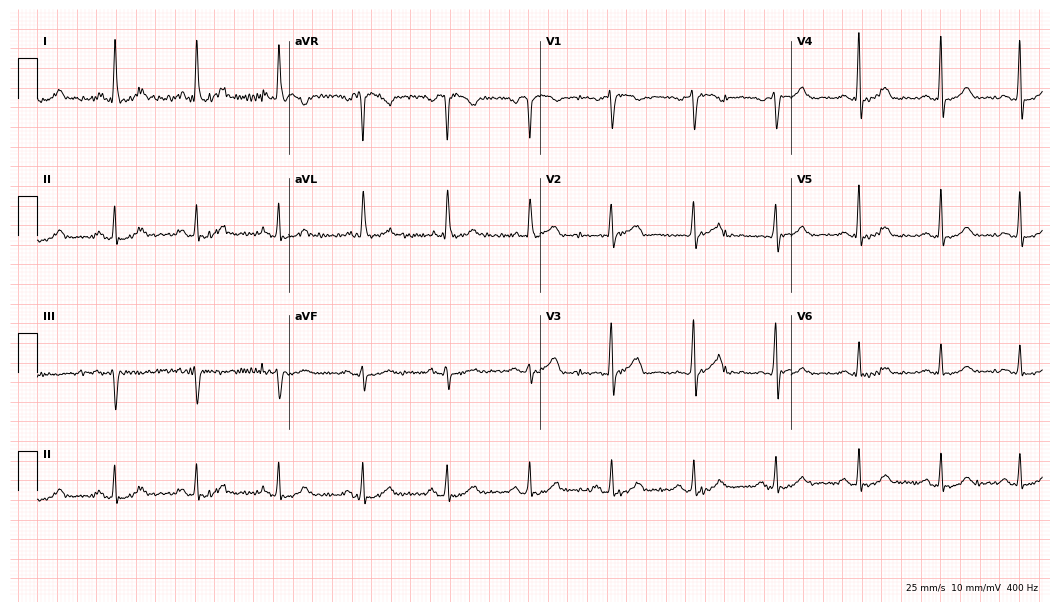
12-lead ECG from a 71-year-old female. No first-degree AV block, right bundle branch block, left bundle branch block, sinus bradycardia, atrial fibrillation or sinus tachycardia recorded for this tracing.